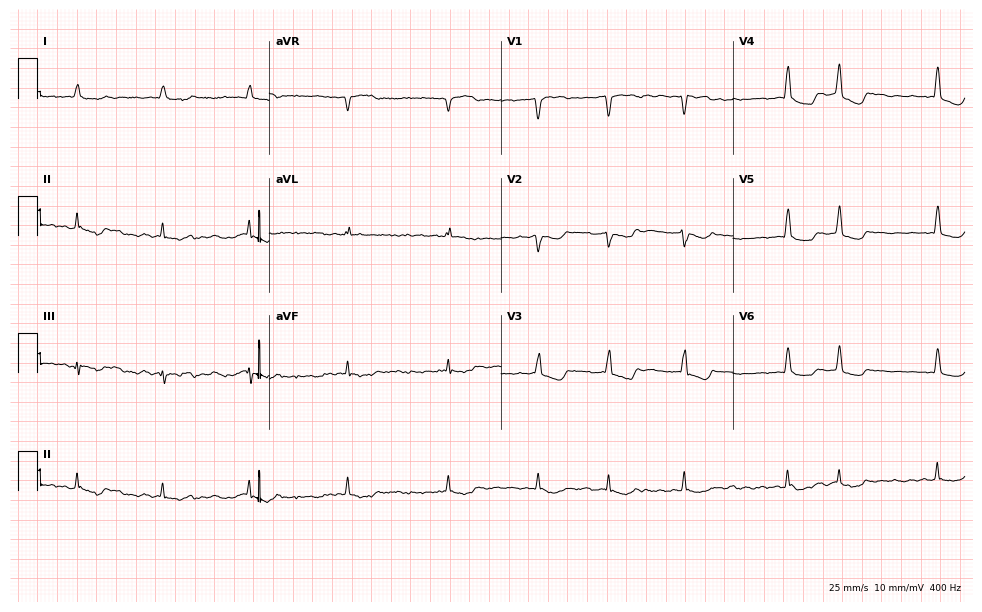
ECG — a female patient, 70 years old. Screened for six findings — first-degree AV block, right bundle branch block, left bundle branch block, sinus bradycardia, atrial fibrillation, sinus tachycardia — none is recorded. Only these six findings were labelled.